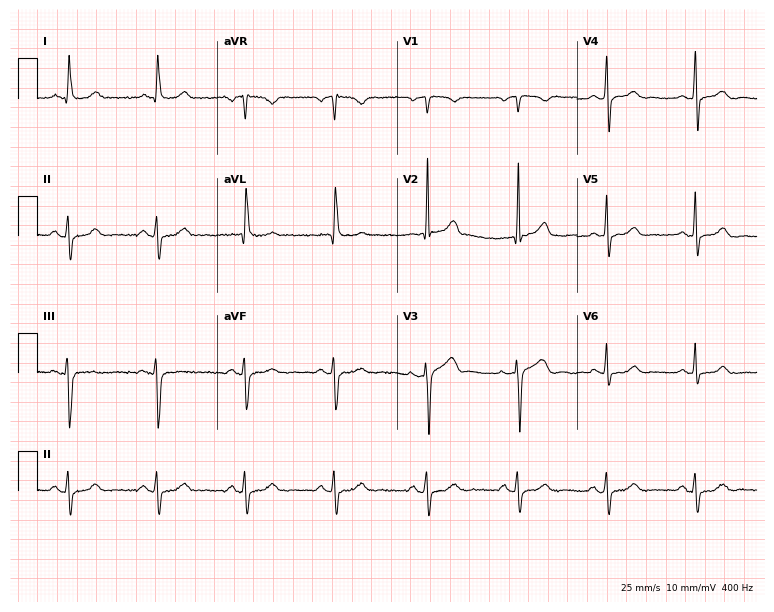
Resting 12-lead electrocardiogram (7.3-second recording at 400 Hz). Patient: a woman, 58 years old. Read as a normal ECG.